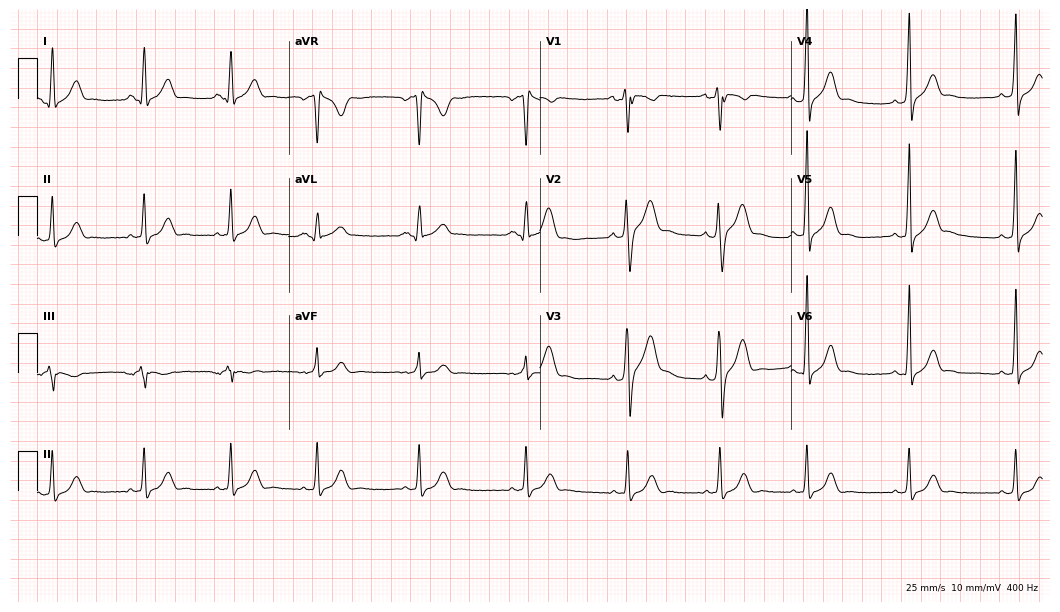
12-lead ECG from a 31-year-old man. No first-degree AV block, right bundle branch block, left bundle branch block, sinus bradycardia, atrial fibrillation or sinus tachycardia recorded for this tracing. Findings outside these six are not listed.